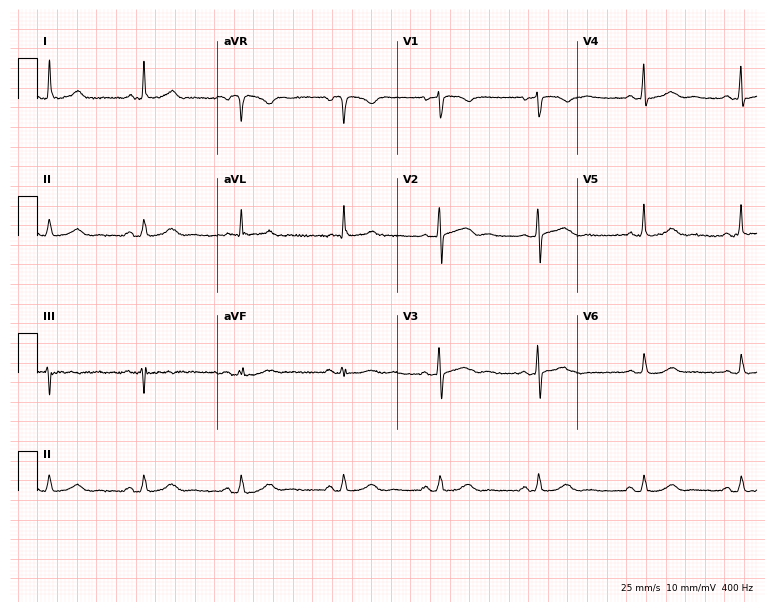
Electrocardiogram, a 79-year-old female patient. Of the six screened findings (first-degree AV block, right bundle branch block, left bundle branch block, sinus bradycardia, atrial fibrillation, sinus tachycardia), none is recorded.